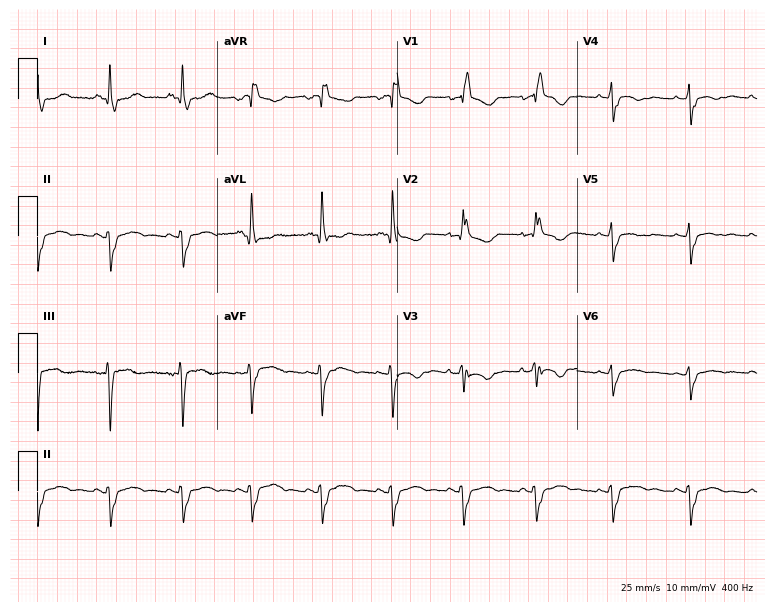
Resting 12-lead electrocardiogram. Patient: a female, 59 years old. The tracing shows right bundle branch block.